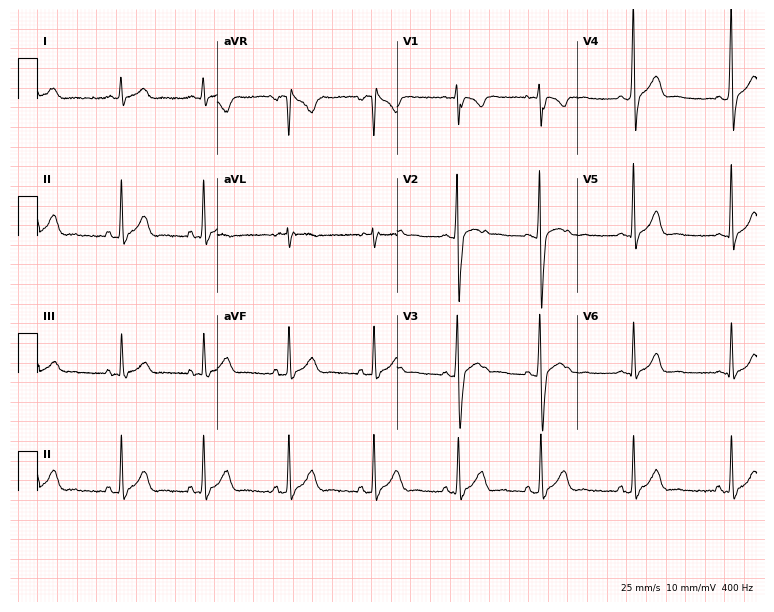
Electrocardiogram (7.3-second recording at 400 Hz), a man, 21 years old. Of the six screened findings (first-degree AV block, right bundle branch block, left bundle branch block, sinus bradycardia, atrial fibrillation, sinus tachycardia), none is recorded.